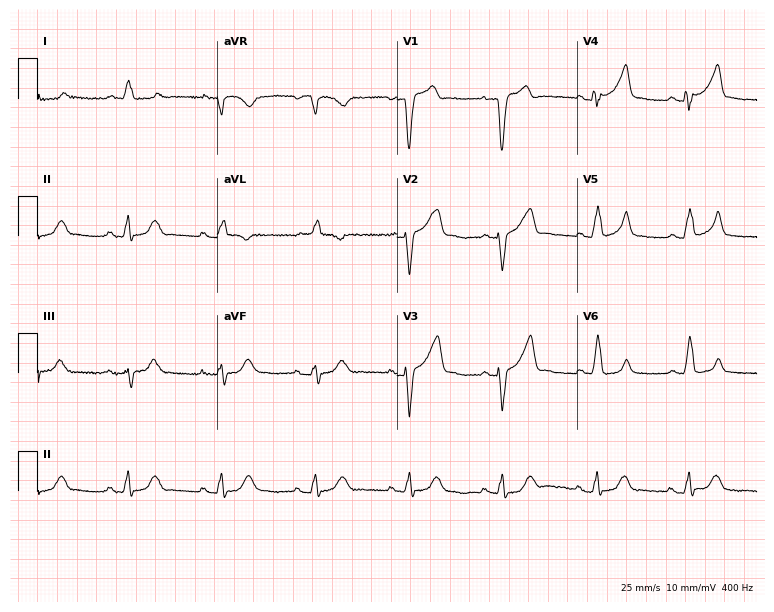
12-lead ECG from an 82-year-old man. Findings include left bundle branch block, sinus tachycardia (a sinus rate of 100 beats per minute or more).